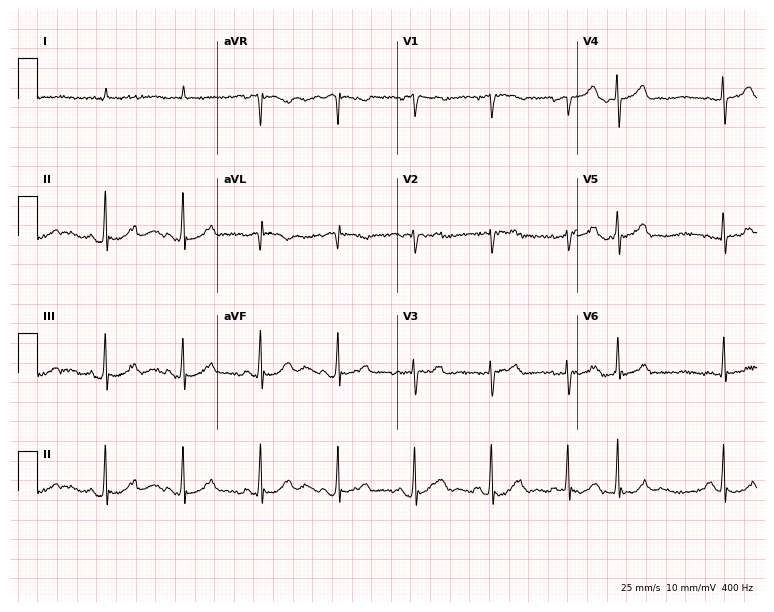
Resting 12-lead electrocardiogram. Patient: a male, 86 years old. Read as a normal ECG.